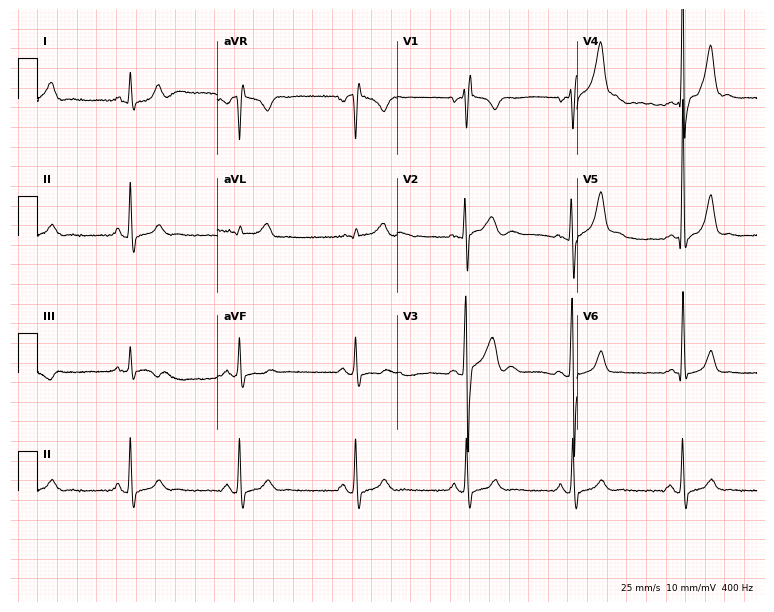
Resting 12-lead electrocardiogram. Patient: a 27-year-old male. None of these six findings is recorded: first-degree AV block, right bundle branch block (RBBB), left bundle branch block (LBBB), sinus bradycardia, atrial fibrillation (AF), sinus tachycardia.